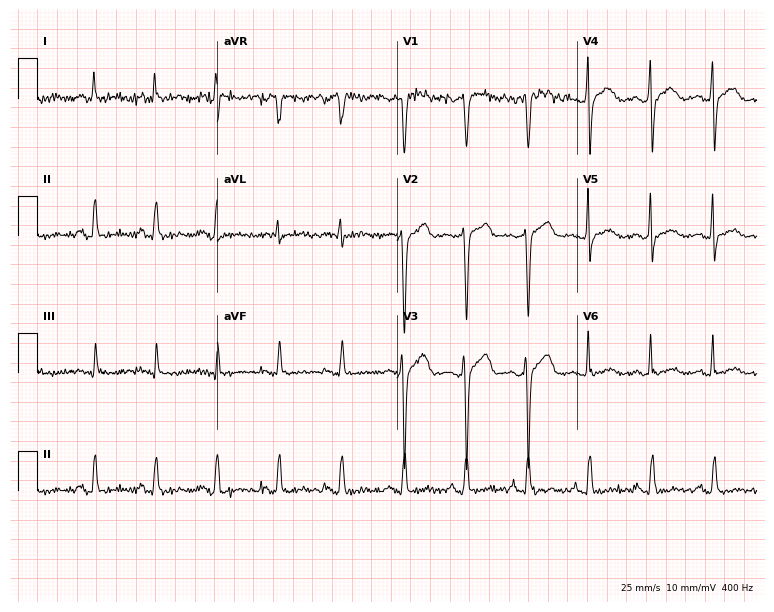
Resting 12-lead electrocardiogram. Patient: a male, 39 years old. None of these six findings is recorded: first-degree AV block, right bundle branch block, left bundle branch block, sinus bradycardia, atrial fibrillation, sinus tachycardia.